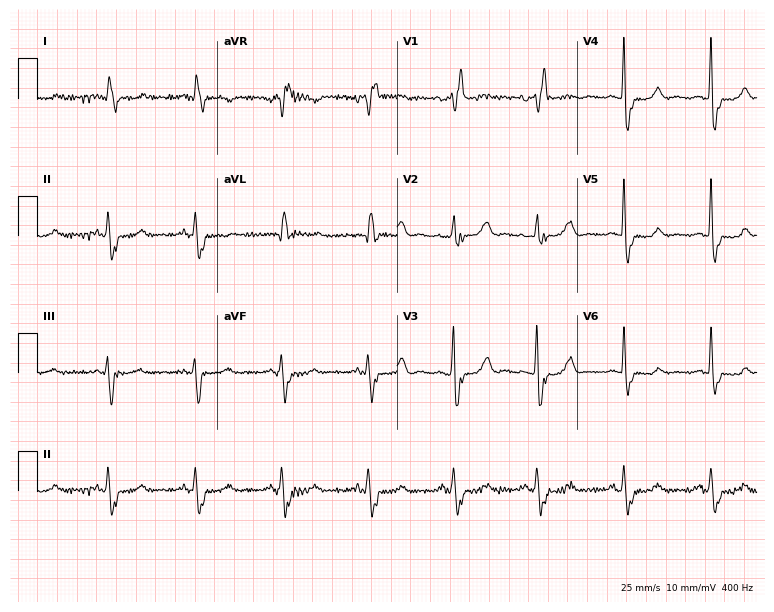
12-lead ECG from a female patient, 67 years old (7.3-second recording at 400 Hz). Shows right bundle branch block.